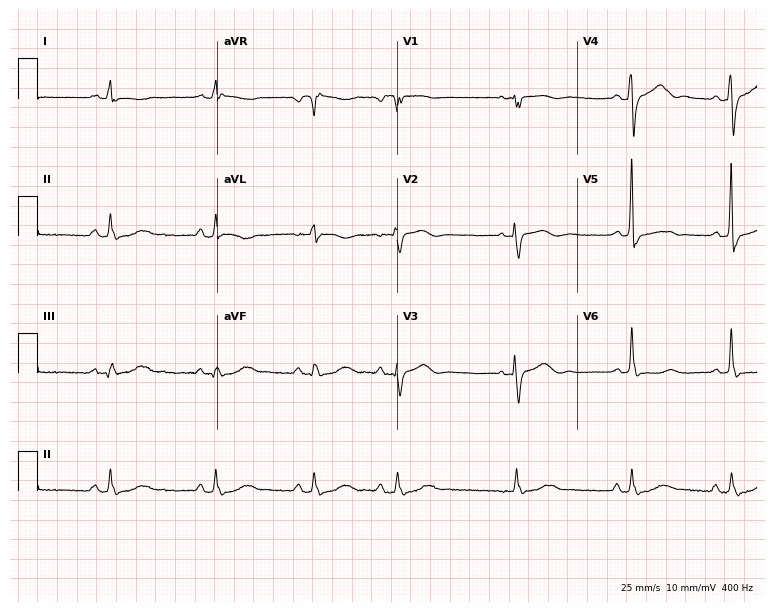
Standard 12-lead ECG recorded from a female patient, 79 years old. None of these six findings is recorded: first-degree AV block, right bundle branch block, left bundle branch block, sinus bradycardia, atrial fibrillation, sinus tachycardia. Other findings, if any, are not listed.